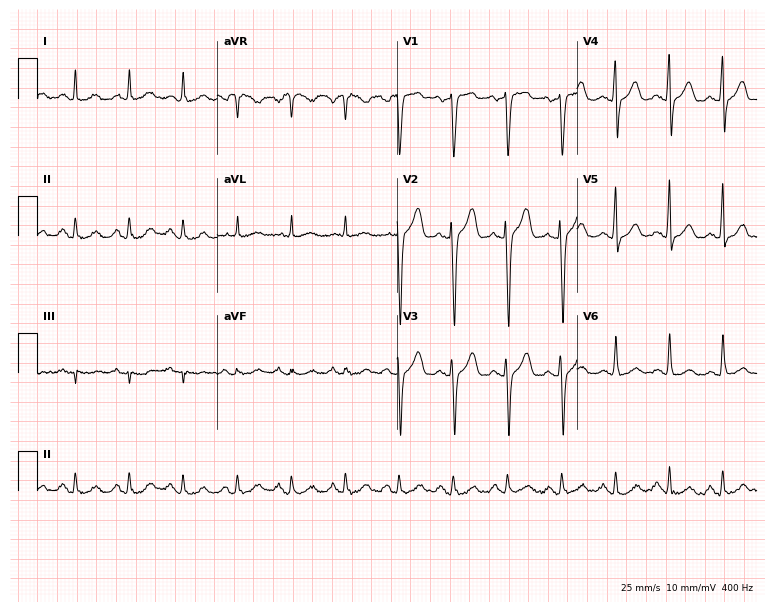
ECG — a male, 67 years old. Findings include sinus tachycardia (a sinus rate of 100 beats per minute or more).